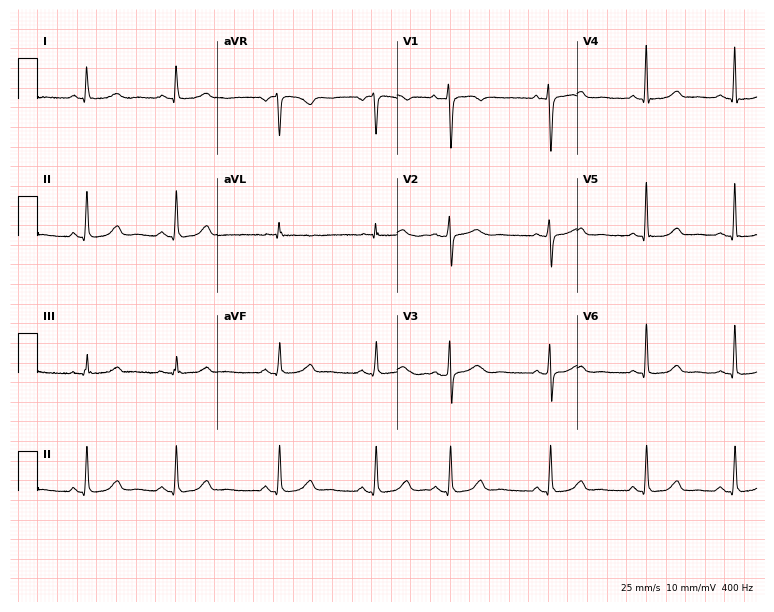
12-lead ECG from a 56-year-old female patient. Recorded interpretation: within normal limits.